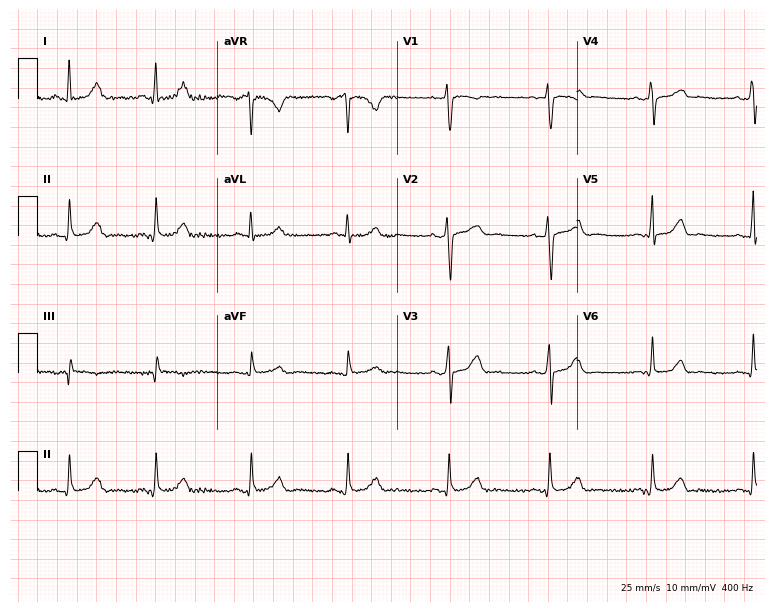
ECG — a 42-year-old woman. Screened for six findings — first-degree AV block, right bundle branch block (RBBB), left bundle branch block (LBBB), sinus bradycardia, atrial fibrillation (AF), sinus tachycardia — none is recorded. Only these six findings were labelled.